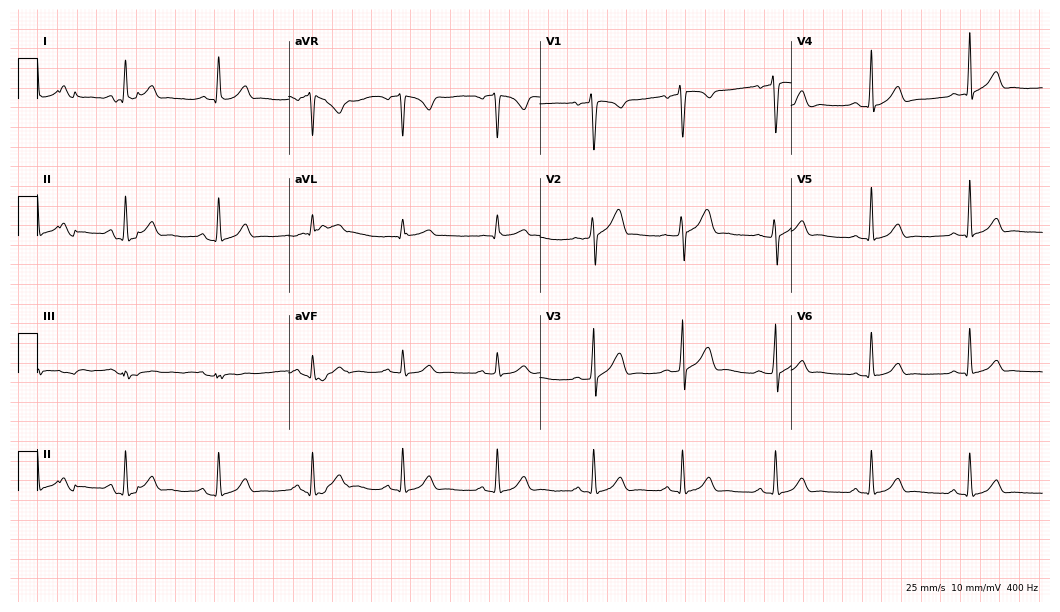
12-lead ECG from a 37-year-old man. No first-degree AV block, right bundle branch block, left bundle branch block, sinus bradycardia, atrial fibrillation or sinus tachycardia recorded for this tracing.